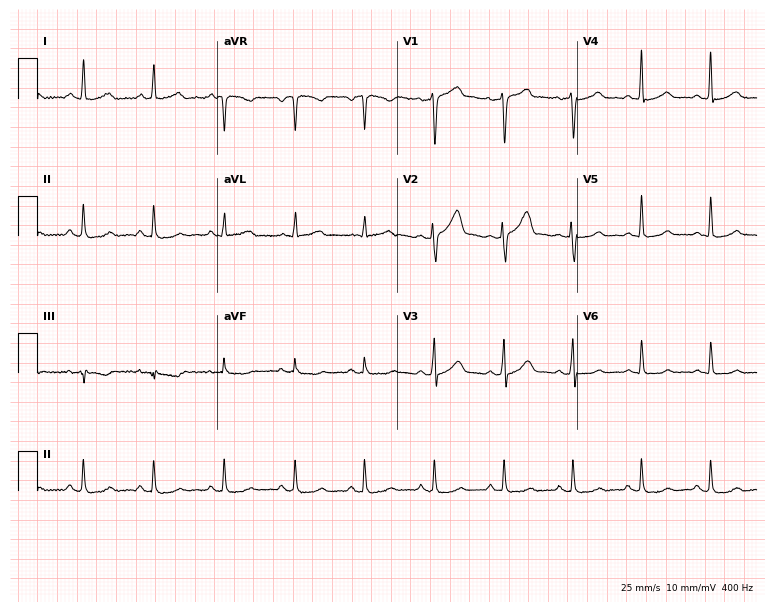
Standard 12-lead ECG recorded from a 48-year-old man. Read as a normal ECG.